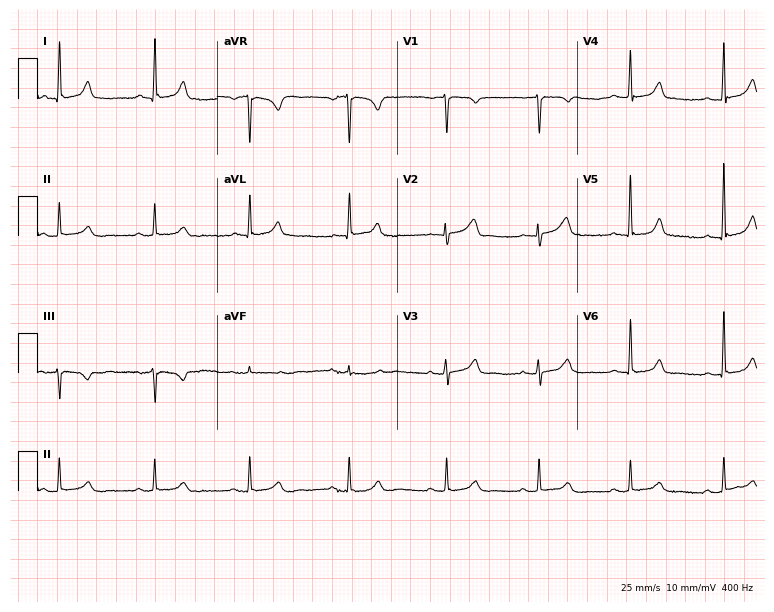
12-lead ECG from a female patient, 65 years old (7.3-second recording at 400 Hz). No first-degree AV block, right bundle branch block (RBBB), left bundle branch block (LBBB), sinus bradycardia, atrial fibrillation (AF) or sinus tachycardia recorded for this tracing. Only these six findings were labelled.